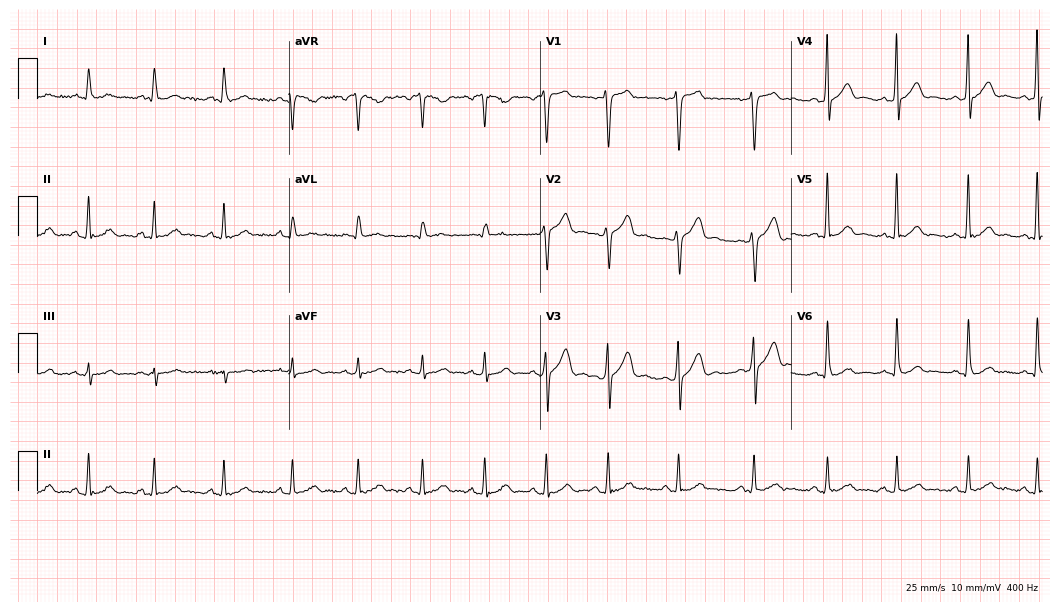
ECG — a man, 34 years old. Labelled as a normal ECG.